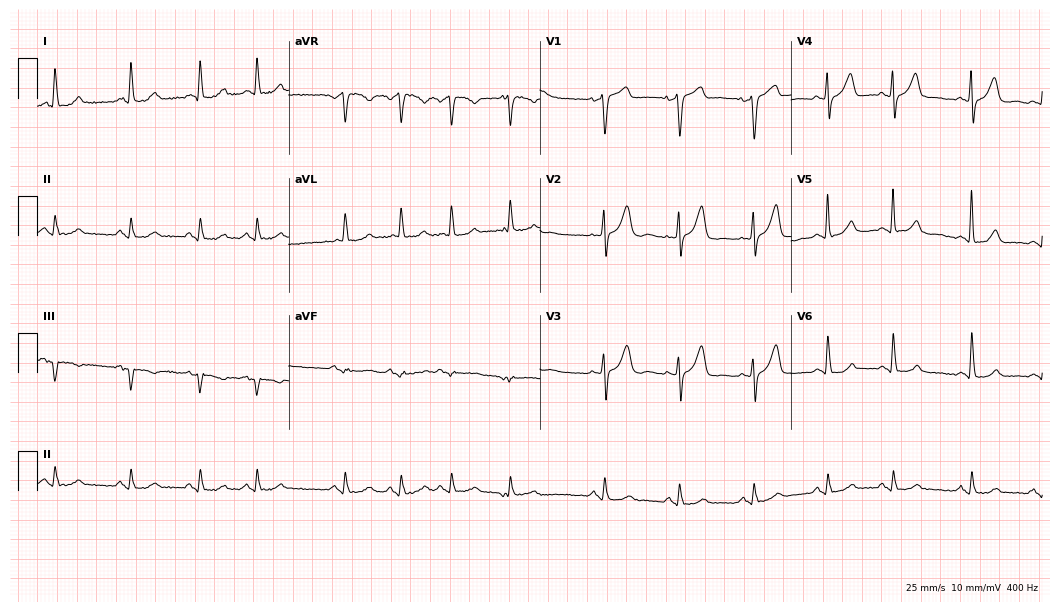
Electrocardiogram (10.2-second recording at 400 Hz), a man, 76 years old. Of the six screened findings (first-degree AV block, right bundle branch block (RBBB), left bundle branch block (LBBB), sinus bradycardia, atrial fibrillation (AF), sinus tachycardia), none is recorded.